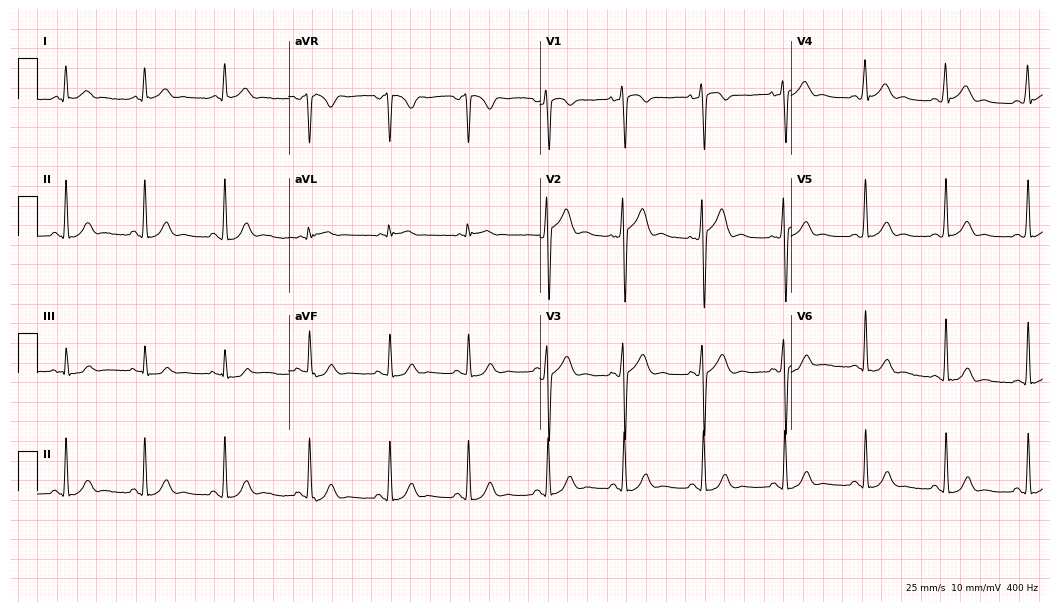
12-lead ECG from a 24-year-old male. Recorded interpretation: within normal limits.